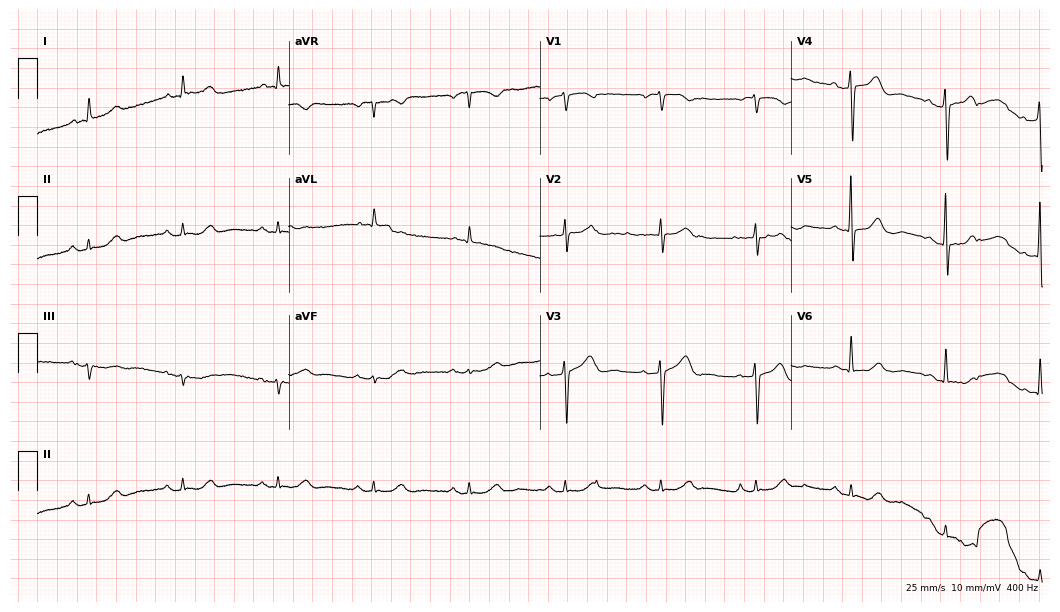
Standard 12-lead ECG recorded from an 82-year-old male (10.2-second recording at 400 Hz). Read as a normal ECG.